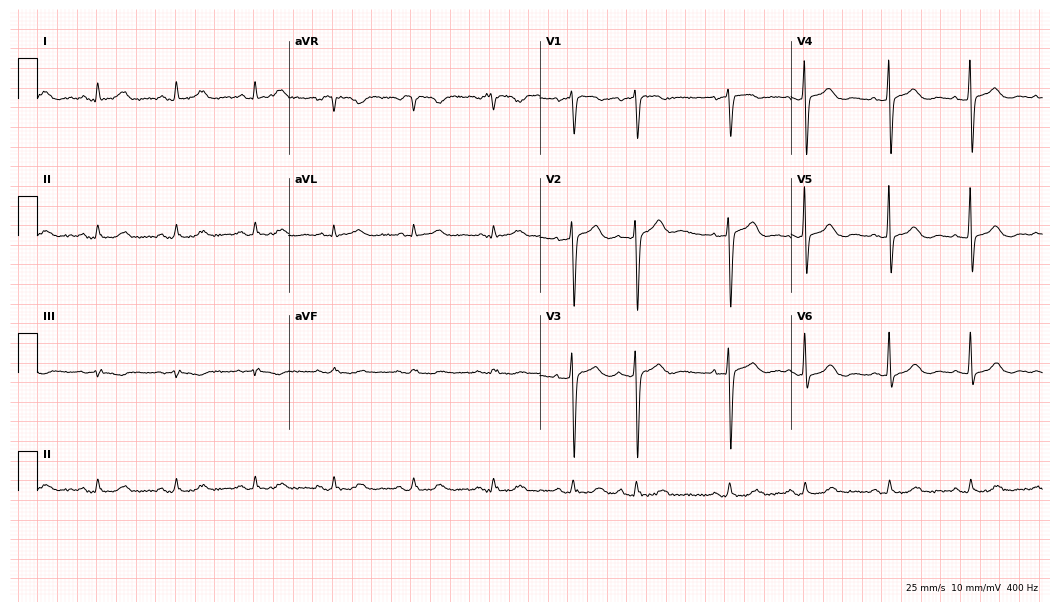
12-lead ECG from a female patient, 80 years old. Labelled as a normal ECG.